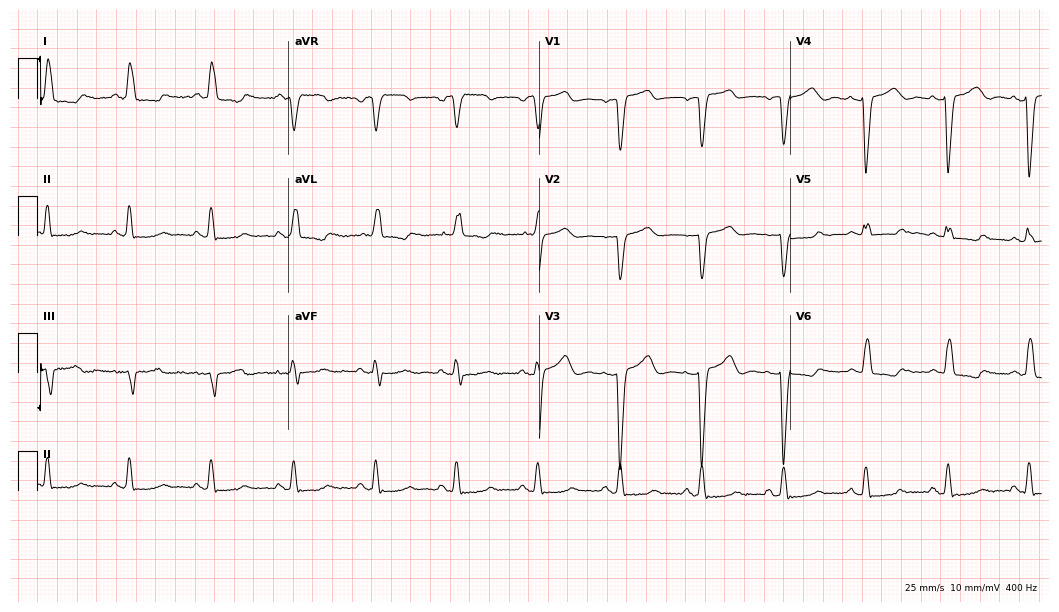
ECG — a female, 46 years old. Screened for six findings — first-degree AV block, right bundle branch block, left bundle branch block, sinus bradycardia, atrial fibrillation, sinus tachycardia — none is recorded.